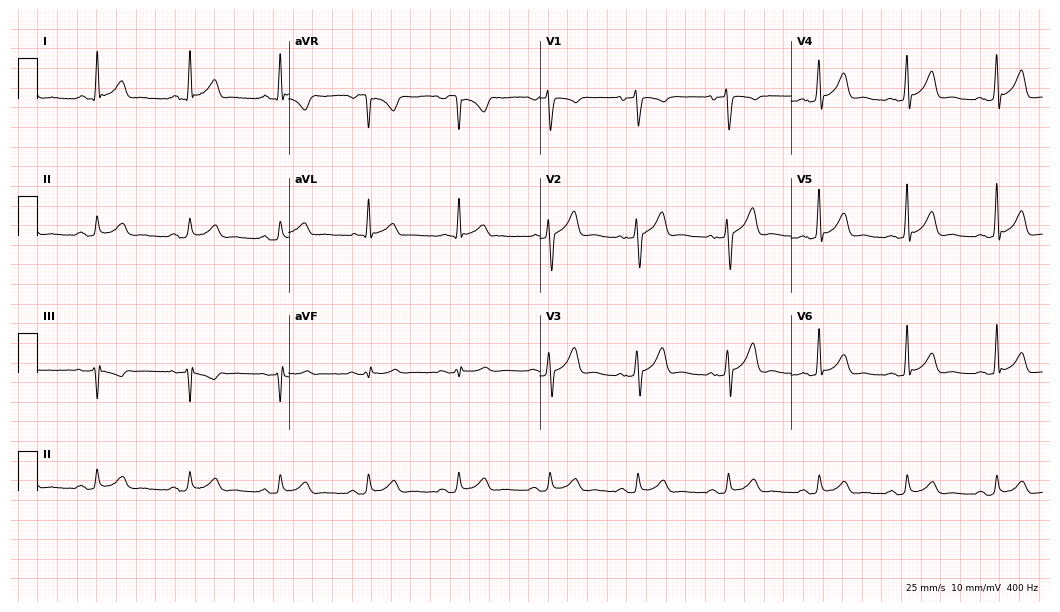
Electrocardiogram (10.2-second recording at 400 Hz), a 49-year-old male patient. Of the six screened findings (first-degree AV block, right bundle branch block (RBBB), left bundle branch block (LBBB), sinus bradycardia, atrial fibrillation (AF), sinus tachycardia), none is recorded. Other findings, if any, are not listed.